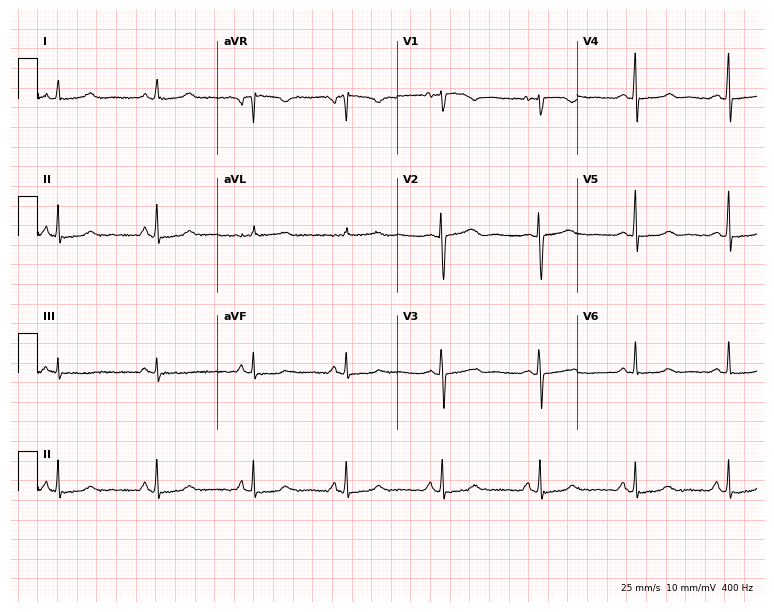
Resting 12-lead electrocardiogram (7.3-second recording at 400 Hz). Patient: a woman, 50 years old. None of these six findings is recorded: first-degree AV block, right bundle branch block, left bundle branch block, sinus bradycardia, atrial fibrillation, sinus tachycardia. Findings outside these six are not listed.